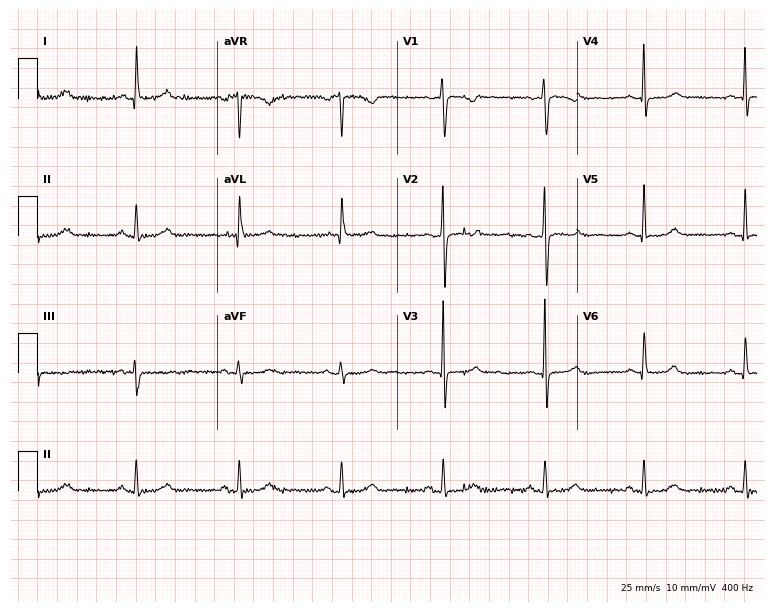
12-lead ECG from a 51-year-old female (7.3-second recording at 400 Hz). Recorded interpretation: within normal limits.